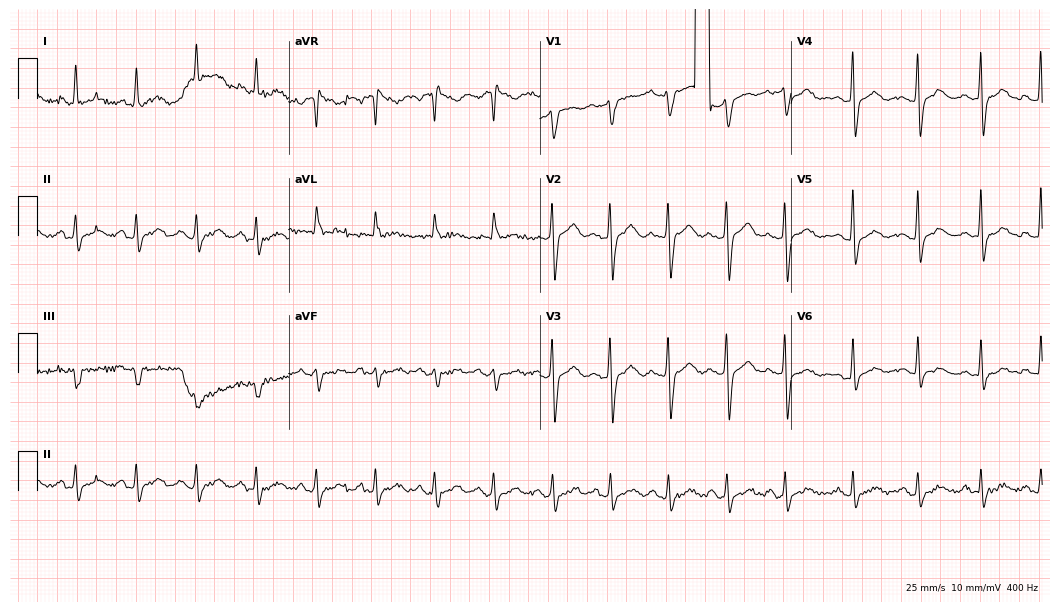
Resting 12-lead electrocardiogram (10.2-second recording at 400 Hz). Patient: a 70-year-old woman. None of these six findings is recorded: first-degree AV block, right bundle branch block, left bundle branch block, sinus bradycardia, atrial fibrillation, sinus tachycardia. Findings outside these six are not listed.